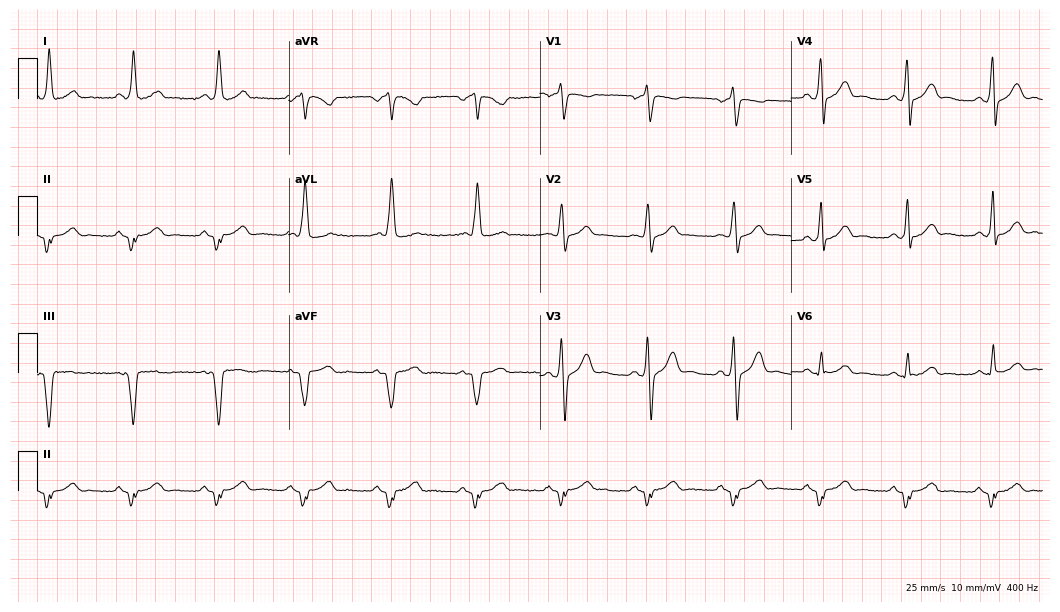
Resting 12-lead electrocardiogram (10.2-second recording at 400 Hz). Patient: a 50-year-old man. None of these six findings is recorded: first-degree AV block, right bundle branch block (RBBB), left bundle branch block (LBBB), sinus bradycardia, atrial fibrillation (AF), sinus tachycardia.